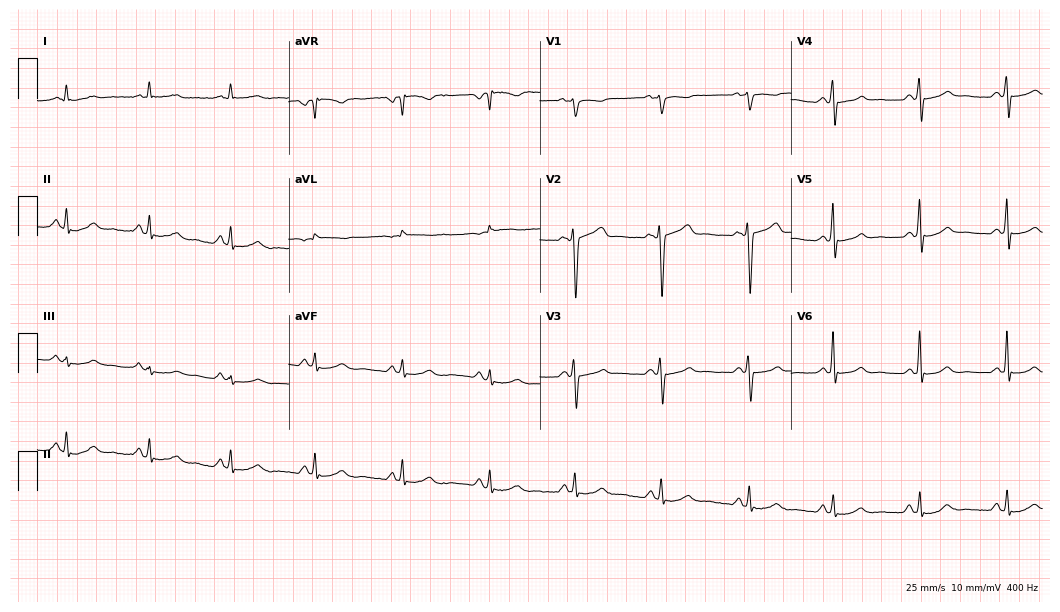
Electrocardiogram, a 62-year-old man. Overall reading on record: normal ECG.